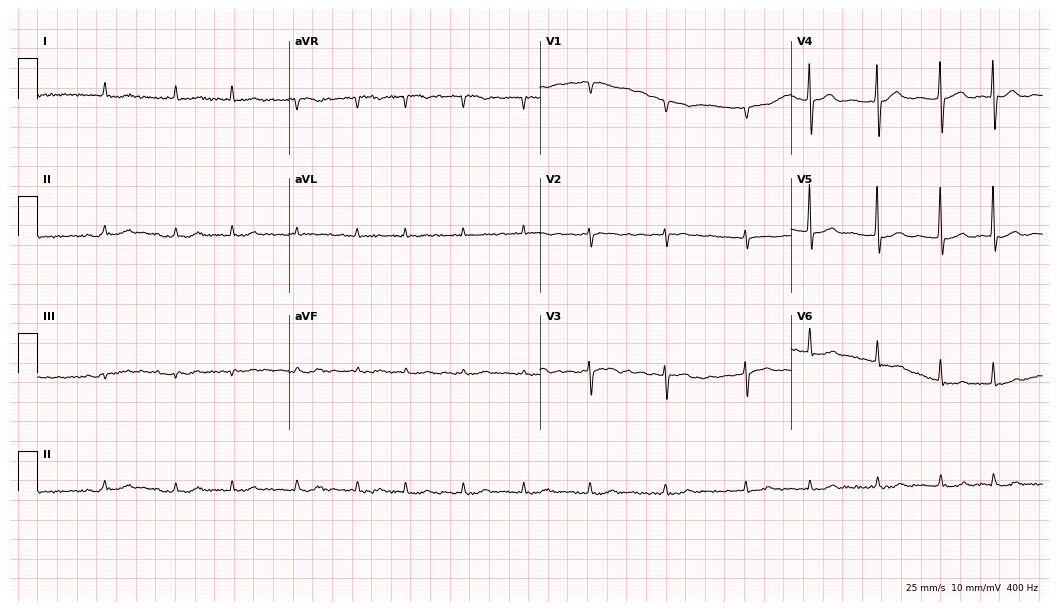
Standard 12-lead ECG recorded from an 85-year-old female patient. The tracing shows atrial fibrillation.